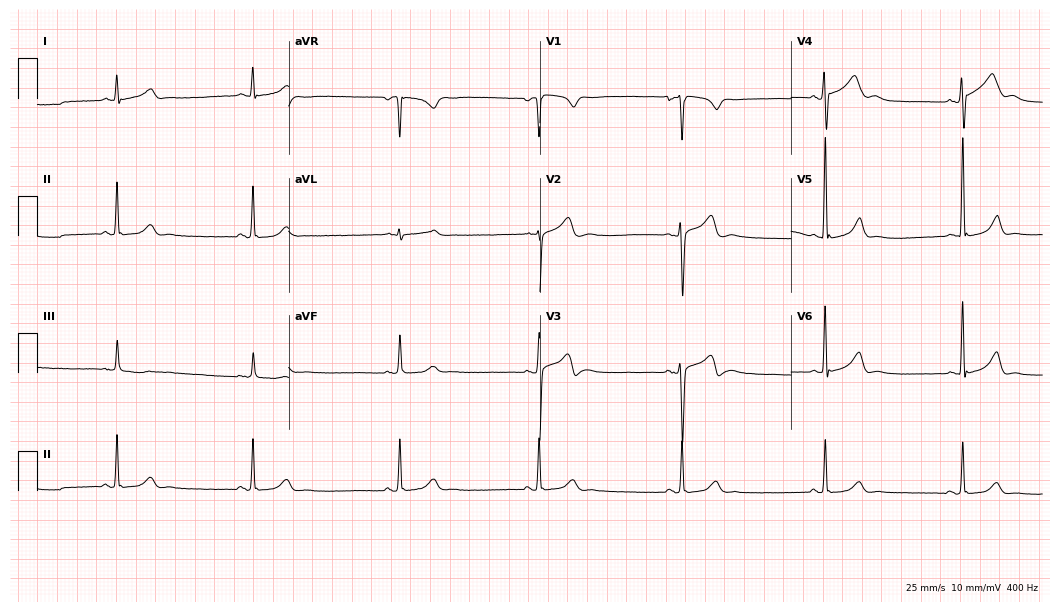
Resting 12-lead electrocardiogram. Patient: a male, 24 years old. The tracing shows sinus bradycardia (a sinus rate of 50 beats per minute or less).